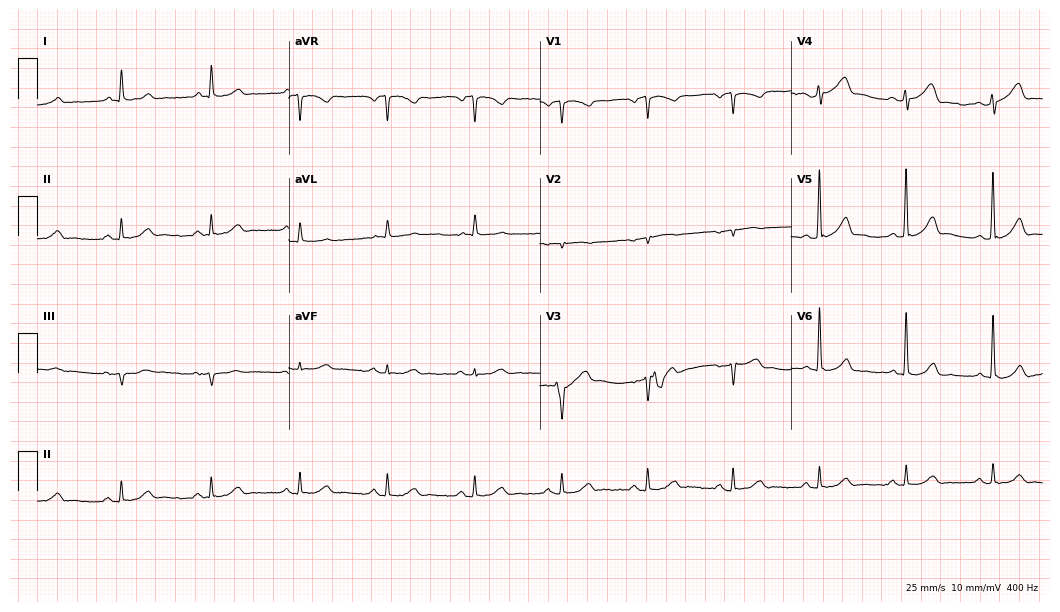
12-lead ECG (10.2-second recording at 400 Hz) from a man, 77 years old. Screened for six findings — first-degree AV block, right bundle branch block (RBBB), left bundle branch block (LBBB), sinus bradycardia, atrial fibrillation (AF), sinus tachycardia — none is recorded. Only these six findings were labelled.